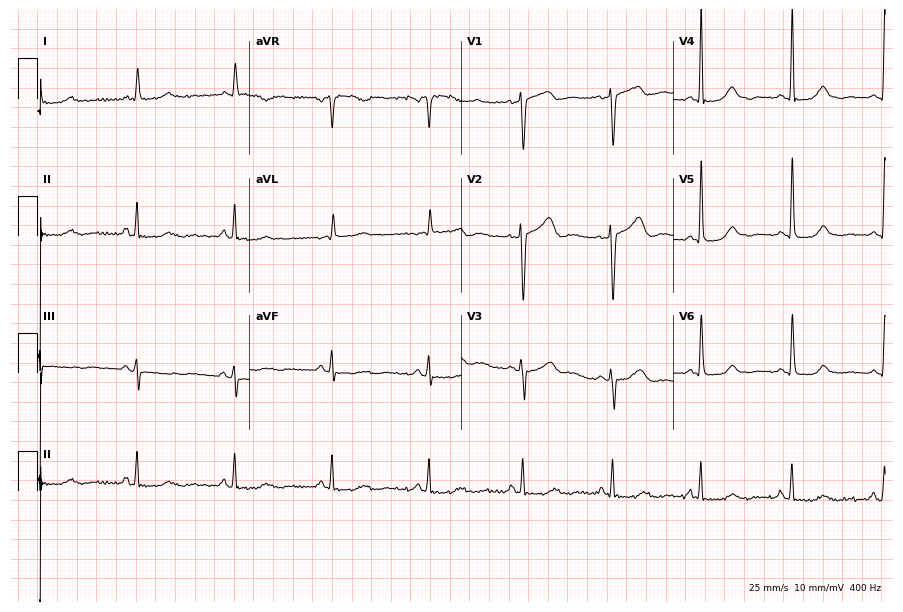
Standard 12-lead ECG recorded from a 56-year-old female. None of these six findings is recorded: first-degree AV block, right bundle branch block (RBBB), left bundle branch block (LBBB), sinus bradycardia, atrial fibrillation (AF), sinus tachycardia. Only these six findings were labelled.